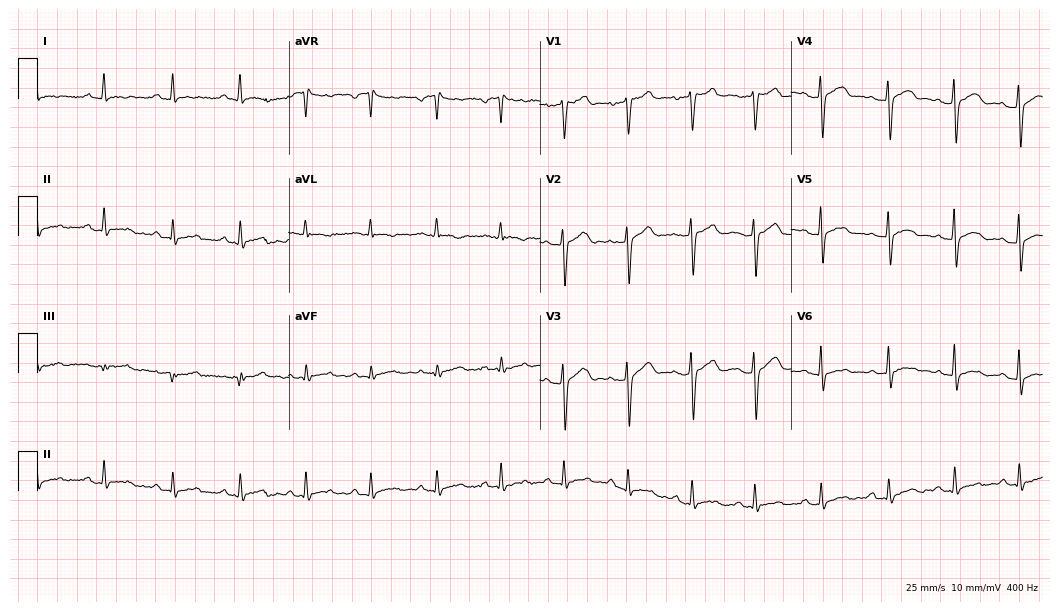
Resting 12-lead electrocardiogram. Patient: a 43-year-old man. Read as a normal ECG.